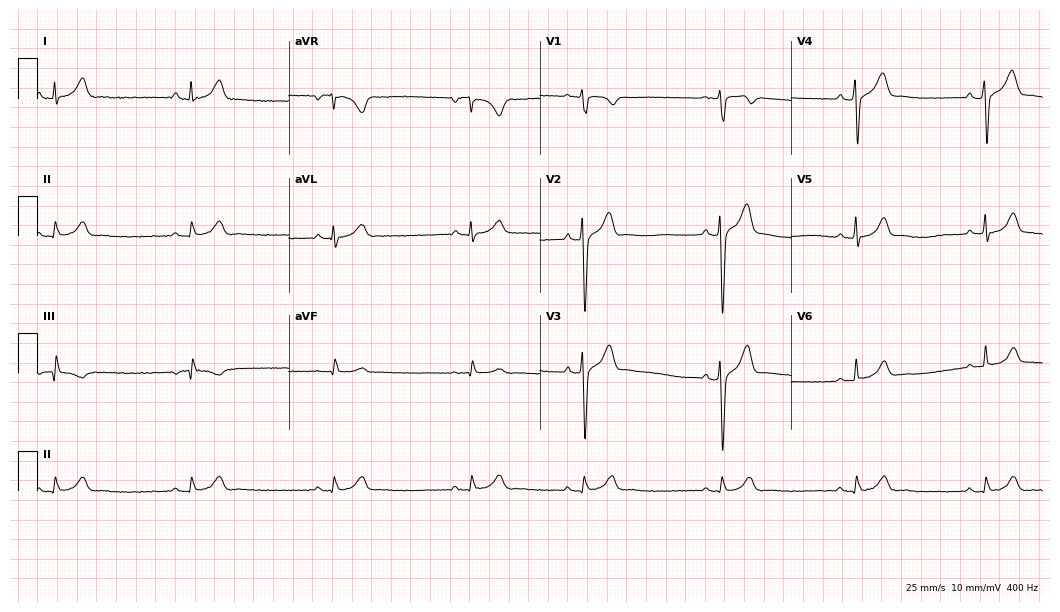
Electrocardiogram, a 27-year-old male patient. Interpretation includes sinus bradycardia (a sinus rate of 50 beats per minute or less).